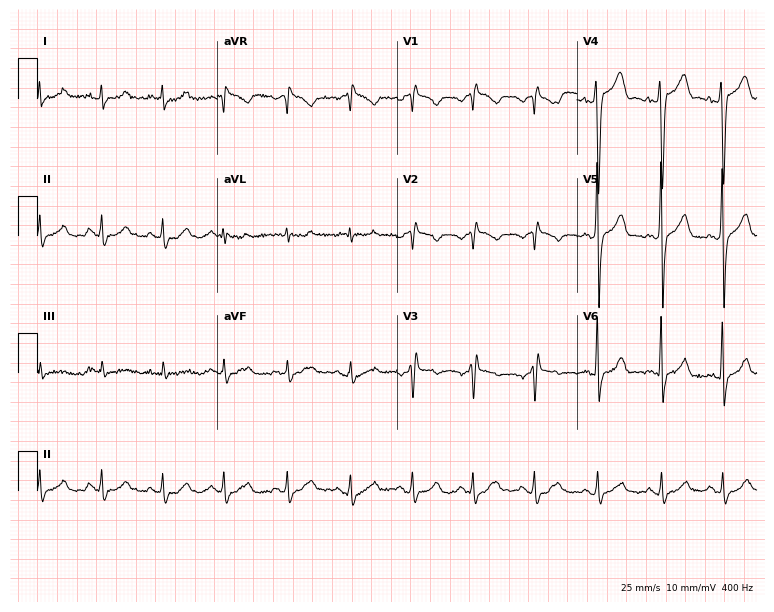
Electrocardiogram, a 55-year-old male patient. Of the six screened findings (first-degree AV block, right bundle branch block, left bundle branch block, sinus bradycardia, atrial fibrillation, sinus tachycardia), none is recorded.